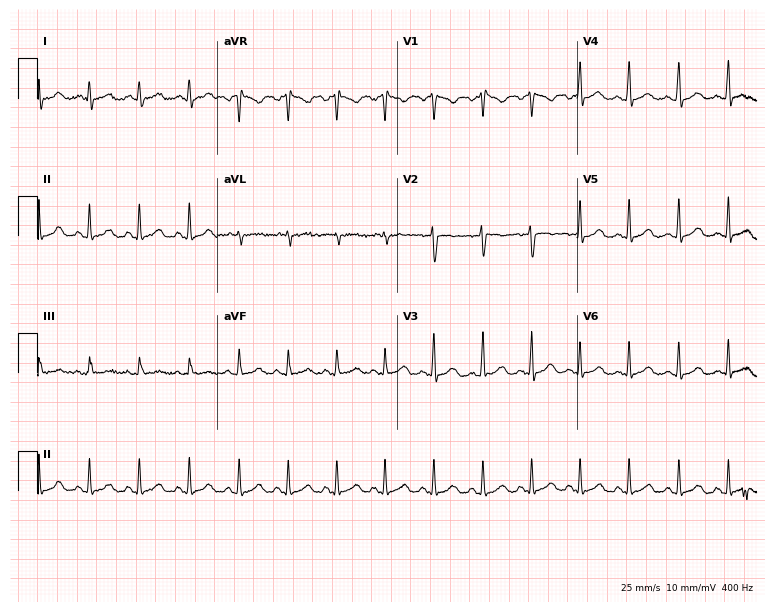
Resting 12-lead electrocardiogram. Patient: a 23-year-old female. The tracing shows sinus tachycardia (a sinus rate of 100 beats per minute or more).